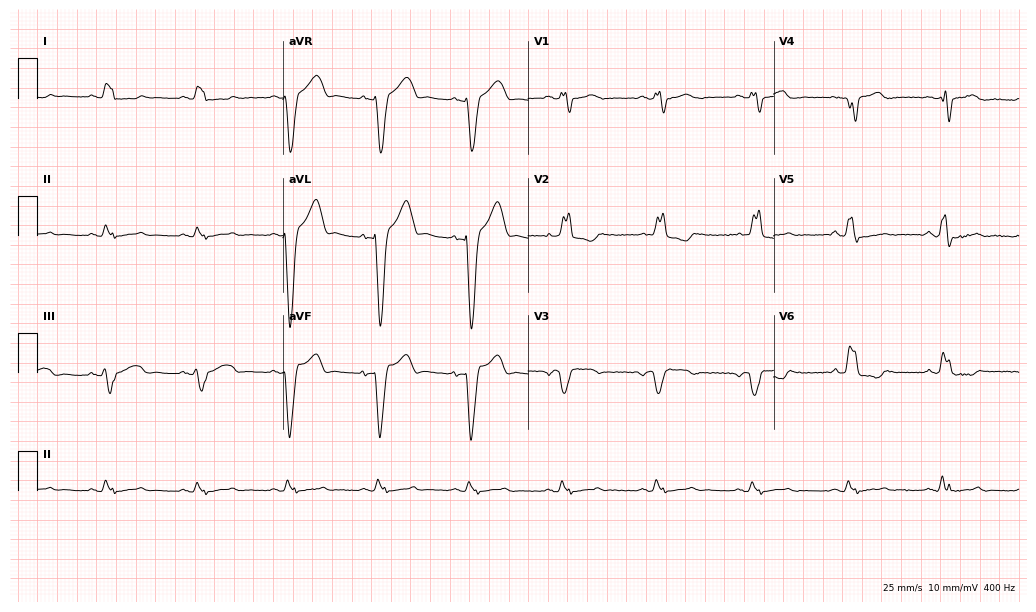
ECG — a female, 69 years old. Findings include left bundle branch block.